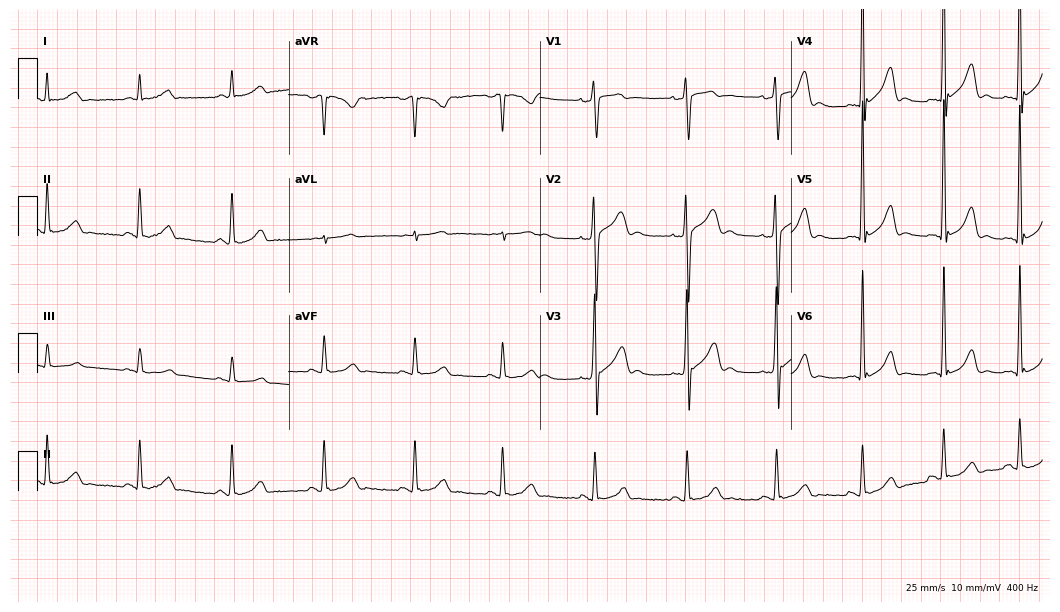
Standard 12-lead ECG recorded from a man, 51 years old. Read as a normal ECG.